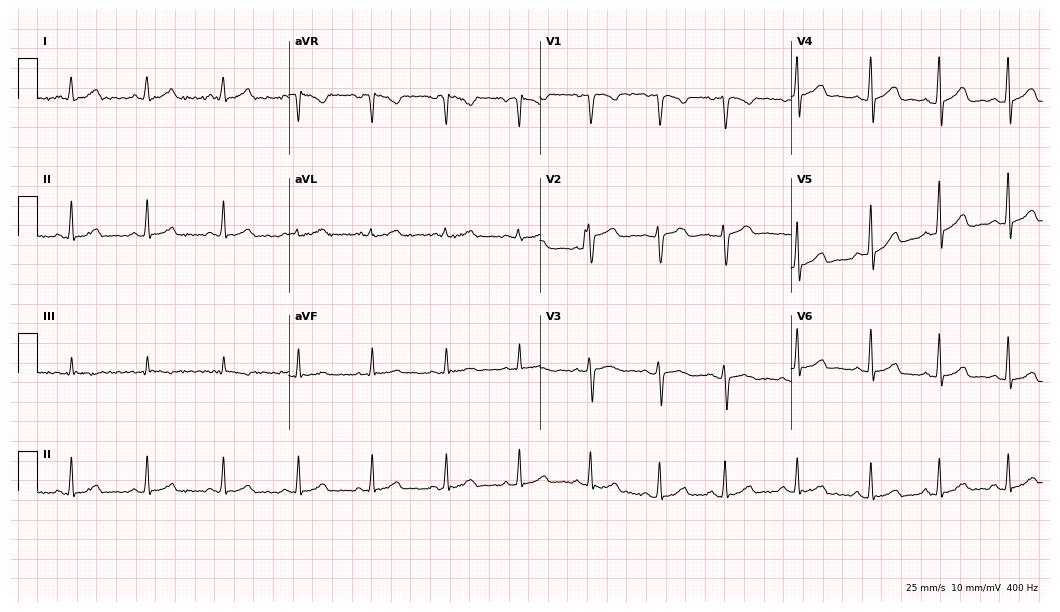
12-lead ECG from a female, 29 years old. Labelled as a normal ECG.